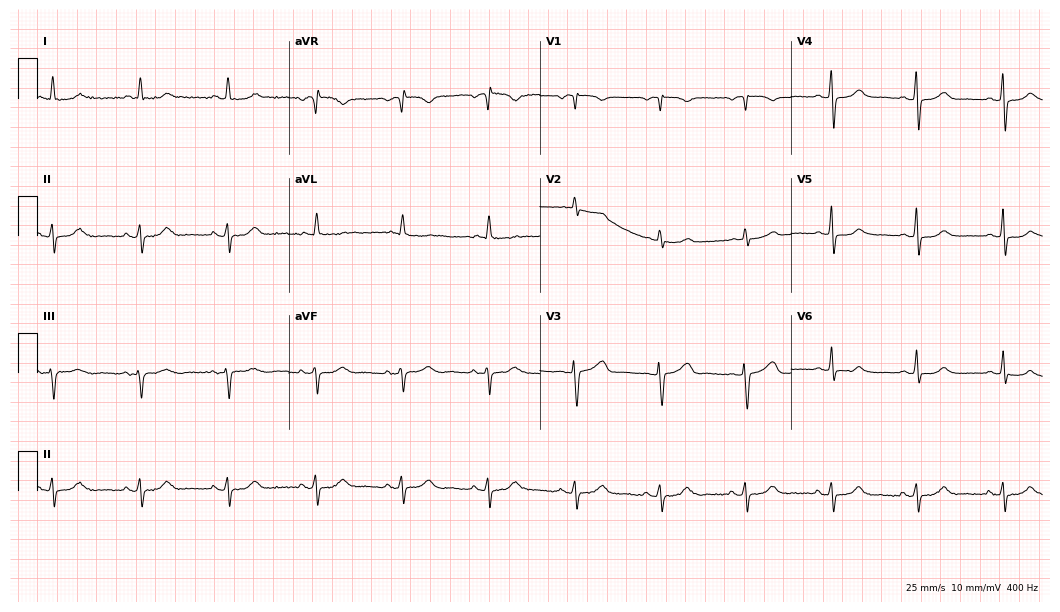
Resting 12-lead electrocardiogram (10.2-second recording at 400 Hz). Patient: a woman, 74 years old. None of these six findings is recorded: first-degree AV block, right bundle branch block, left bundle branch block, sinus bradycardia, atrial fibrillation, sinus tachycardia. Only these six findings were labelled.